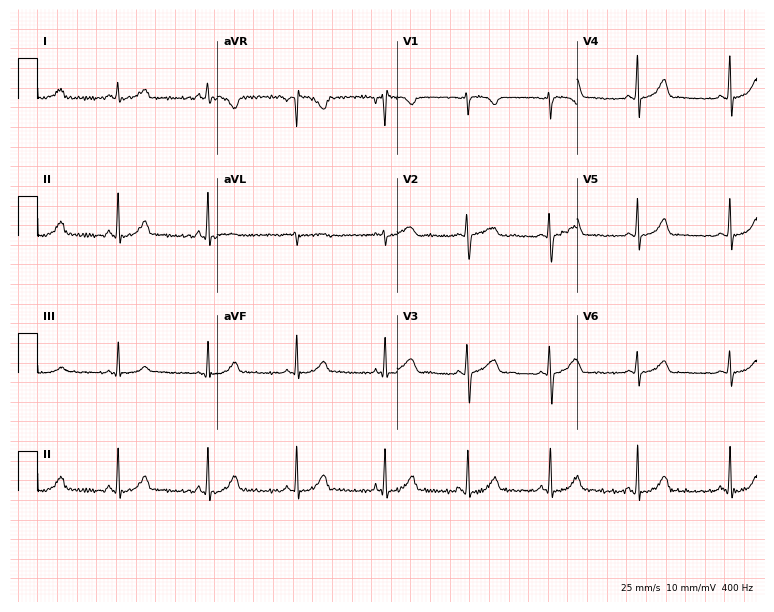
12-lead ECG from a female, 26 years old. Recorded interpretation: within normal limits.